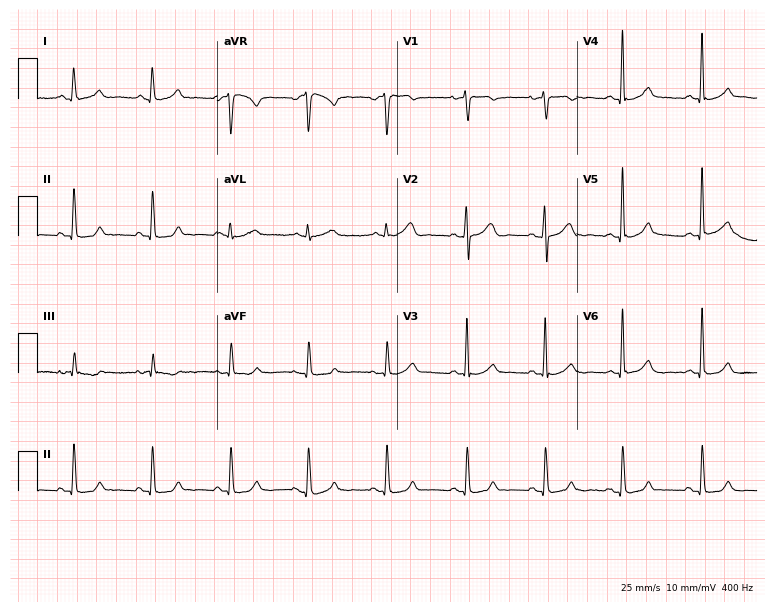
Electrocardiogram (7.3-second recording at 400 Hz), a 40-year-old female patient. Overall reading on record: normal ECG.